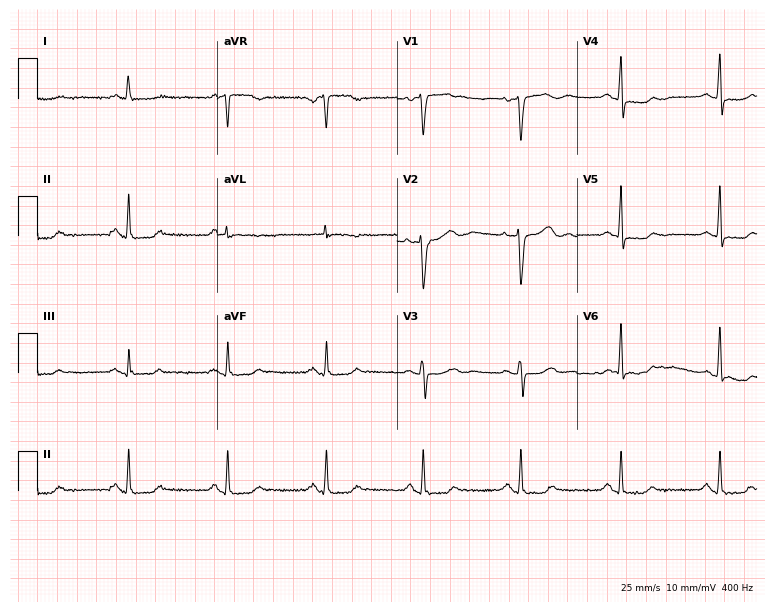
12-lead ECG from a 50-year-old female patient (7.3-second recording at 400 Hz). No first-degree AV block, right bundle branch block, left bundle branch block, sinus bradycardia, atrial fibrillation or sinus tachycardia recorded for this tracing. Other findings, if any, are not listed.